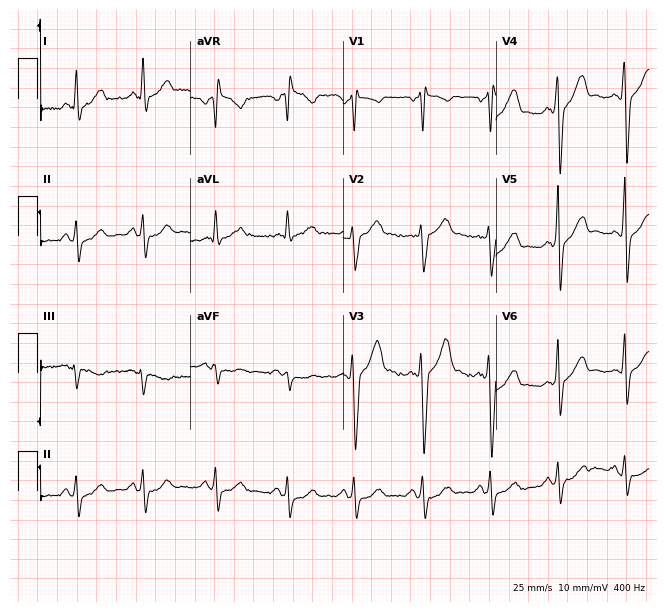
Electrocardiogram, a male patient, 35 years old. Of the six screened findings (first-degree AV block, right bundle branch block, left bundle branch block, sinus bradycardia, atrial fibrillation, sinus tachycardia), none is recorded. Other findings, if any, are not listed.